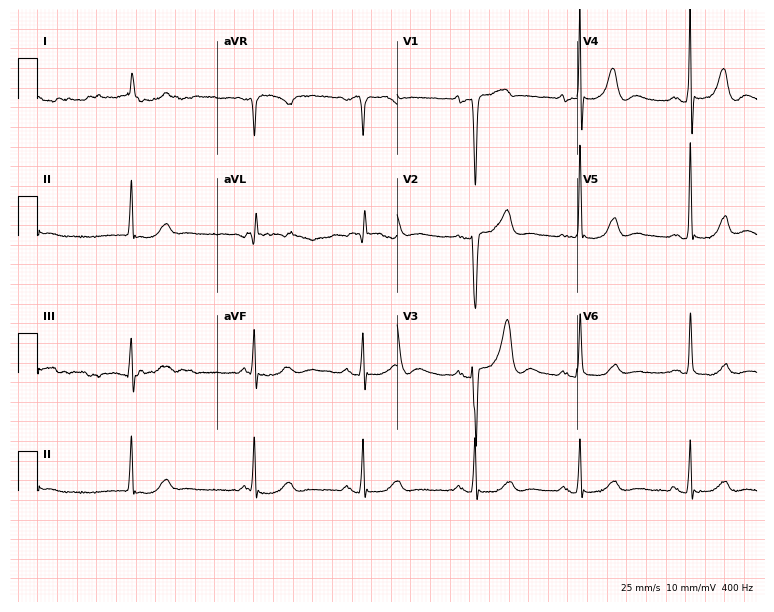
Electrocardiogram (7.3-second recording at 400 Hz), a woman, 83 years old. Of the six screened findings (first-degree AV block, right bundle branch block, left bundle branch block, sinus bradycardia, atrial fibrillation, sinus tachycardia), none is recorded. Only these six findings were labelled.